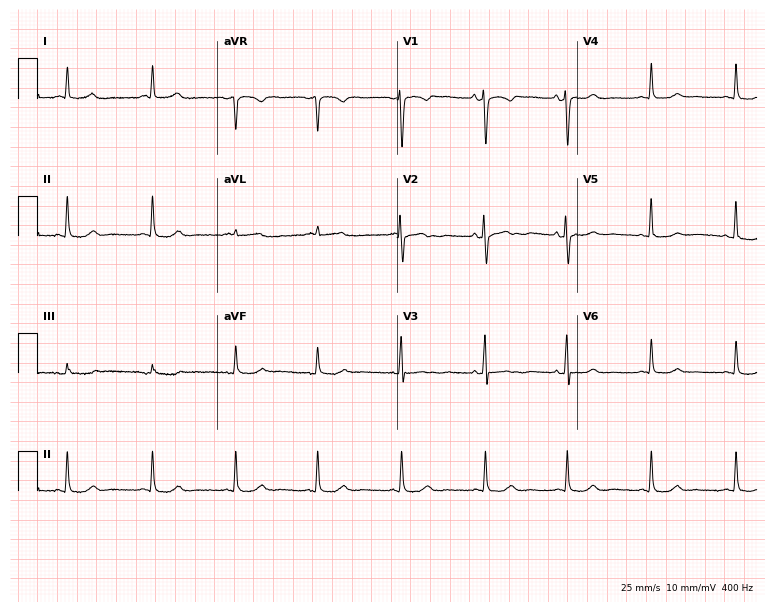
ECG (7.3-second recording at 400 Hz) — a 49-year-old female. Screened for six findings — first-degree AV block, right bundle branch block, left bundle branch block, sinus bradycardia, atrial fibrillation, sinus tachycardia — none is recorded.